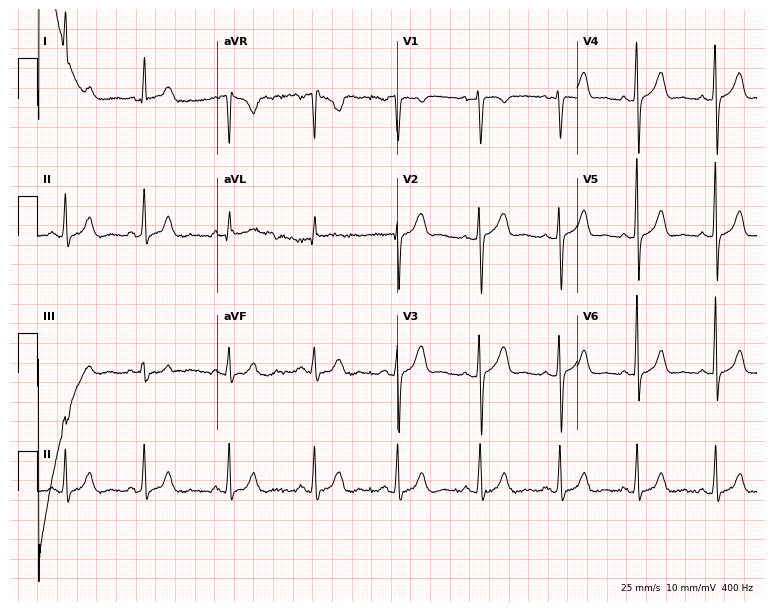
Electrocardiogram (7.3-second recording at 400 Hz), a female, 46 years old. Of the six screened findings (first-degree AV block, right bundle branch block (RBBB), left bundle branch block (LBBB), sinus bradycardia, atrial fibrillation (AF), sinus tachycardia), none is recorded. Findings outside these six are not listed.